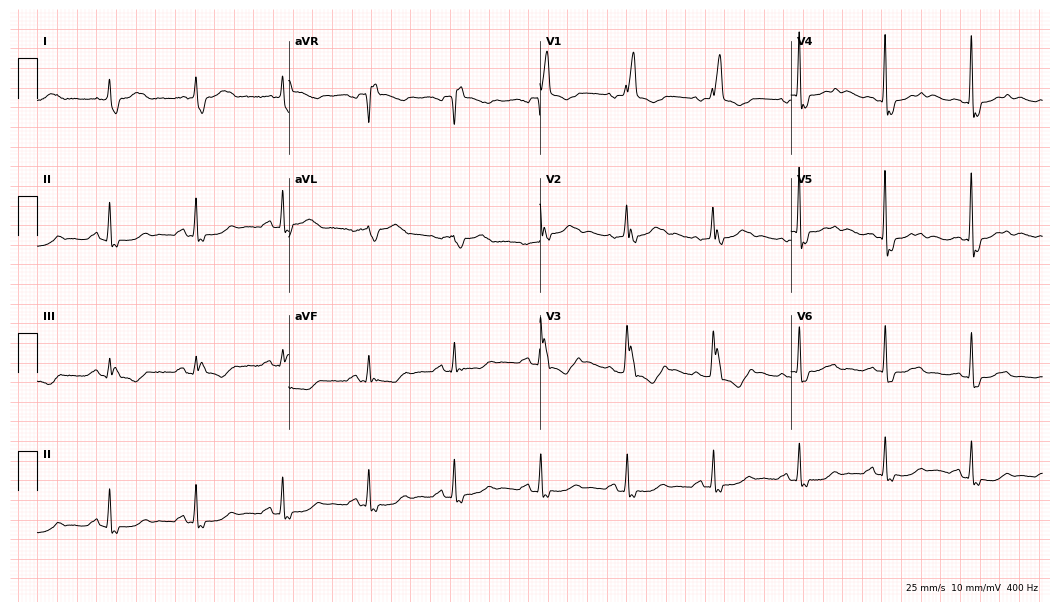
ECG (10.2-second recording at 400 Hz) — a female patient, 71 years old. Findings include right bundle branch block.